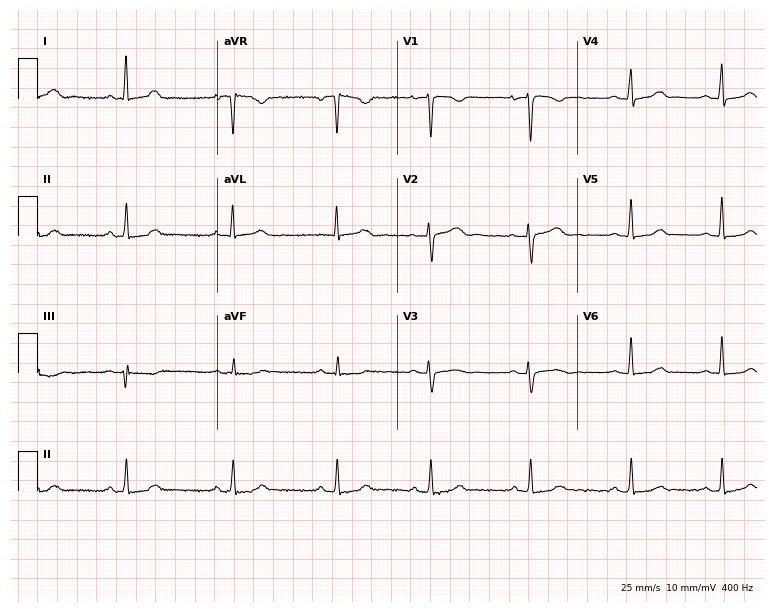
12-lead ECG (7.3-second recording at 400 Hz) from a 31-year-old woman. Labelled as a normal ECG.